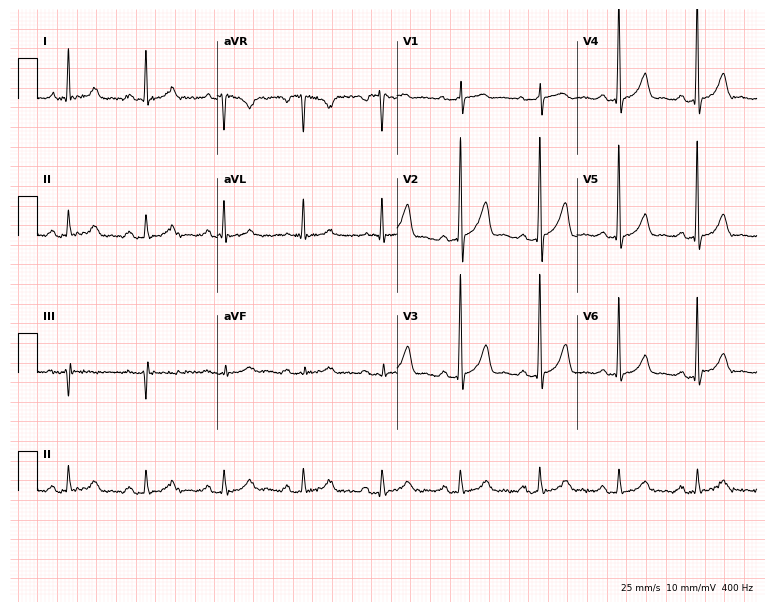
Electrocardiogram (7.3-second recording at 400 Hz), an 82-year-old woman. Of the six screened findings (first-degree AV block, right bundle branch block, left bundle branch block, sinus bradycardia, atrial fibrillation, sinus tachycardia), none is recorded. Other findings, if any, are not listed.